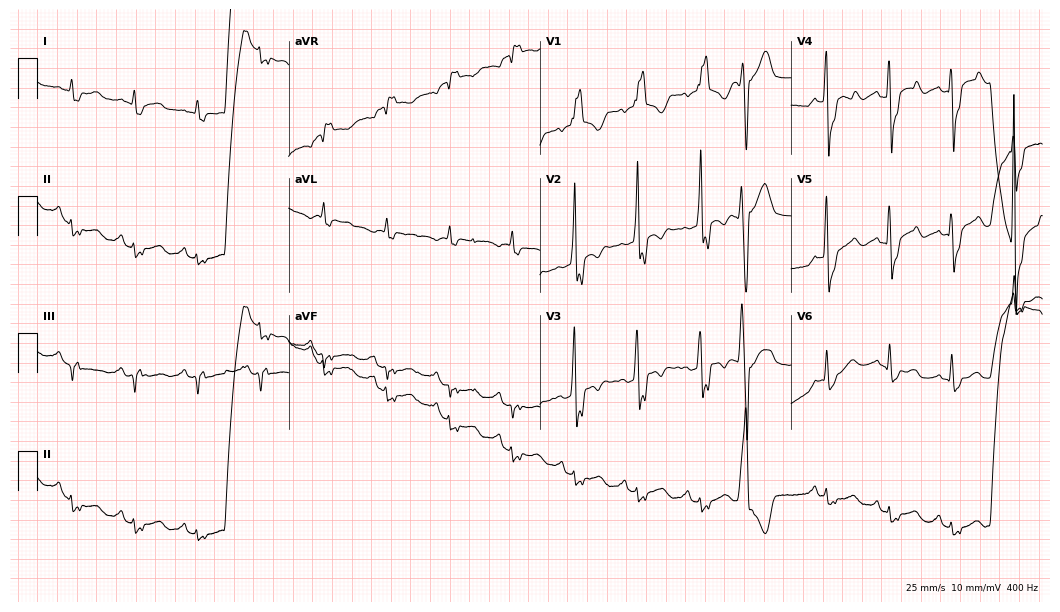
Standard 12-lead ECG recorded from a male, 83 years old (10.2-second recording at 400 Hz). The tracing shows right bundle branch block.